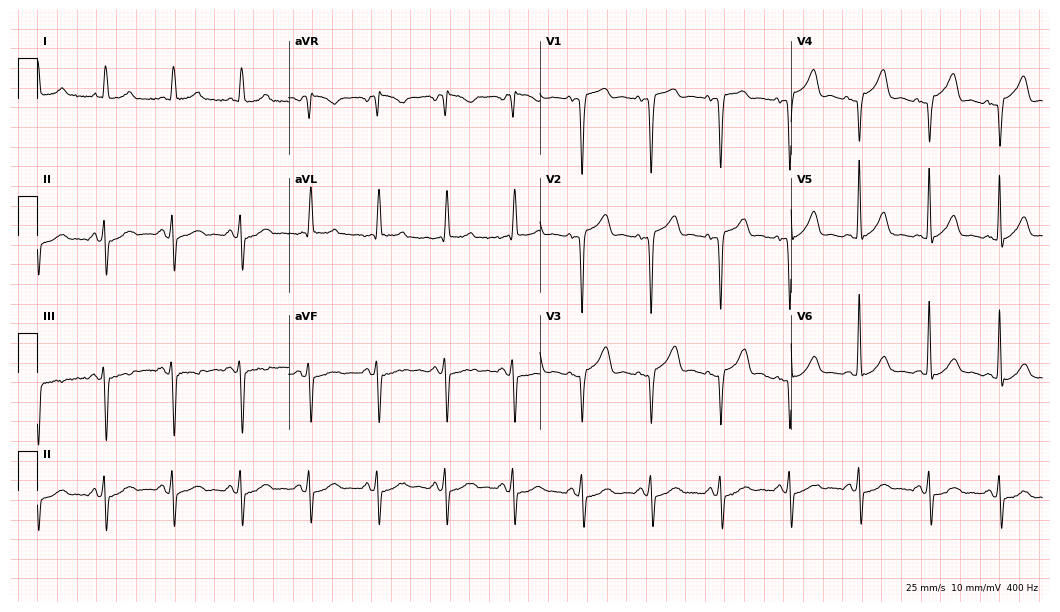
Electrocardiogram, a female, 84 years old. Of the six screened findings (first-degree AV block, right bundle branch block (RBBB), left bundle branch block (LBBB), sinus bradycardia, atrial fibrillation (AF), sinus tachycardia), none is recorded. Findings outside these six are not listed.